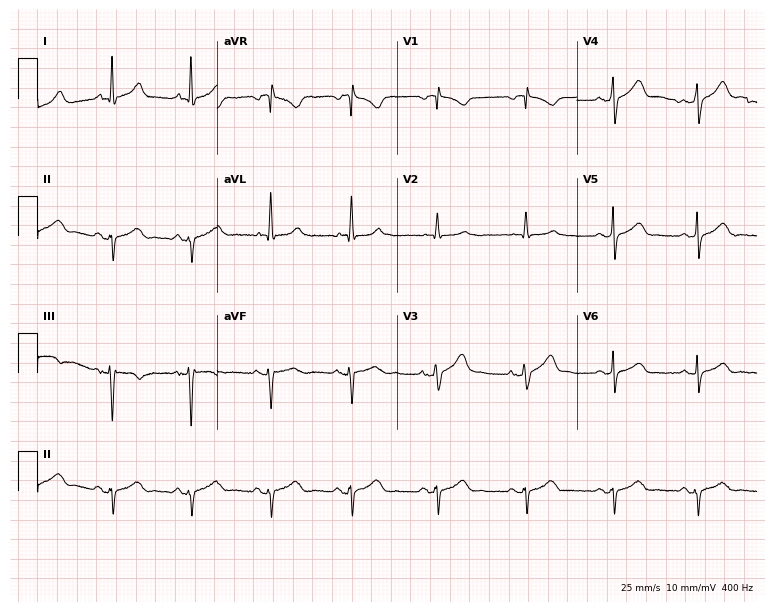
12-lead ECG from a woman, 64 years old. Screened for six findings — first-degree AV block, right bundle branch block, left bundle branch block, sinus bradycardia, atrial fibrillation, sinus tachycardia — none is recorded. Findings outside these six are not listed.